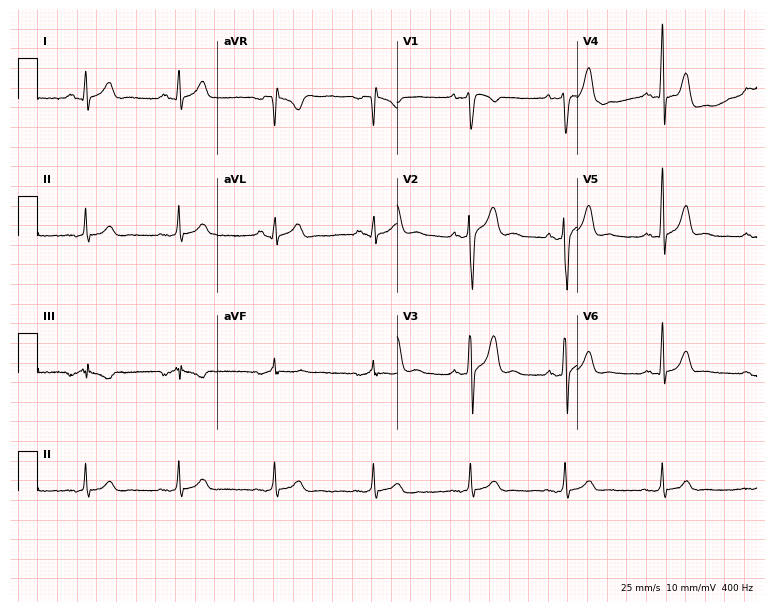
Electrocardiogram, a man, 36 years old. Overall reading on record: normal ECG.